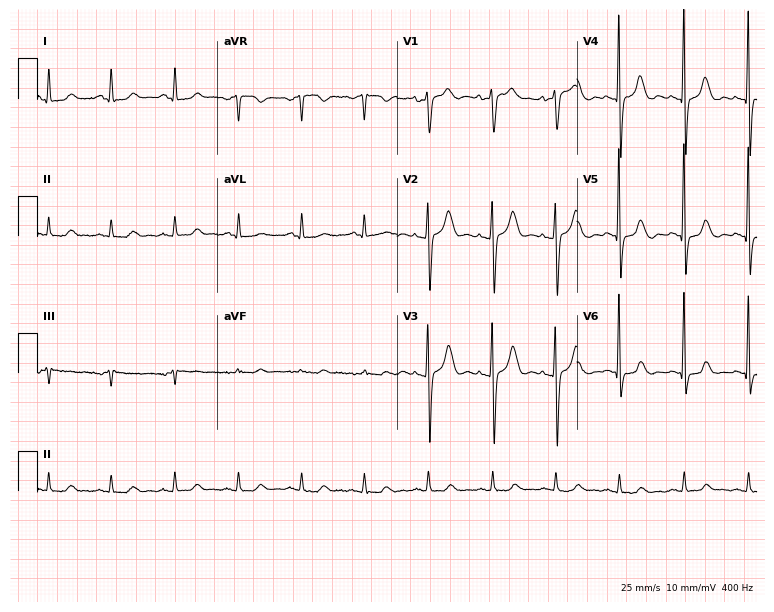
Resting 12-lead electrocardiogram (7.3-second recording at 400 Hz). Patient: a 75-year-old female. None of these six findings is recorded: first-degree AV block, right bundle branch block, left bundle branch block, sinus bradycardia, atrial fibrillation, sinus tachycardia. Findings outside these six are not listed.